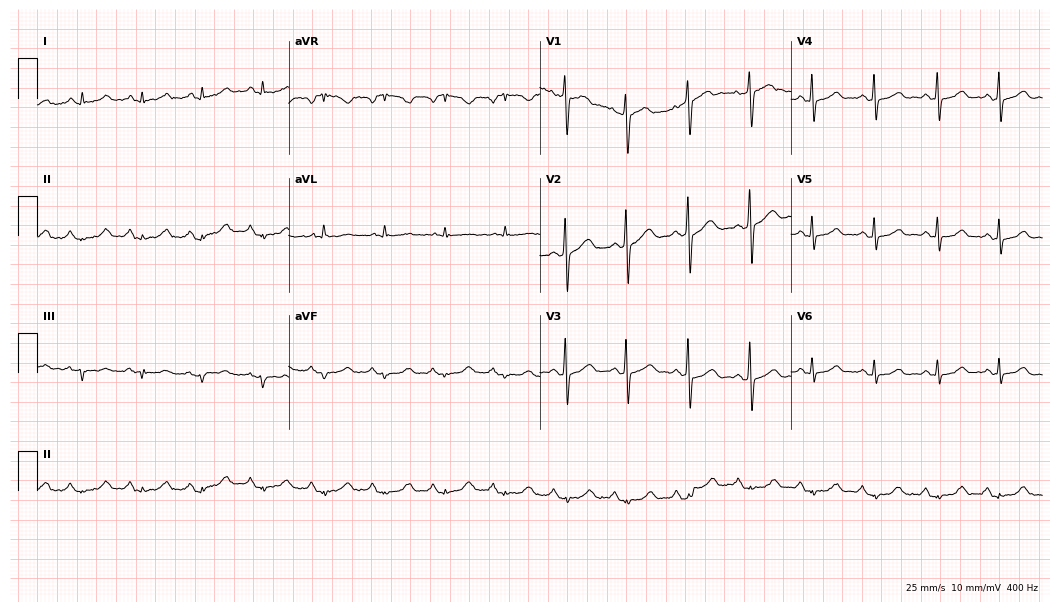
ECG — a 60-year-old female. Labelled as a normal ECG.